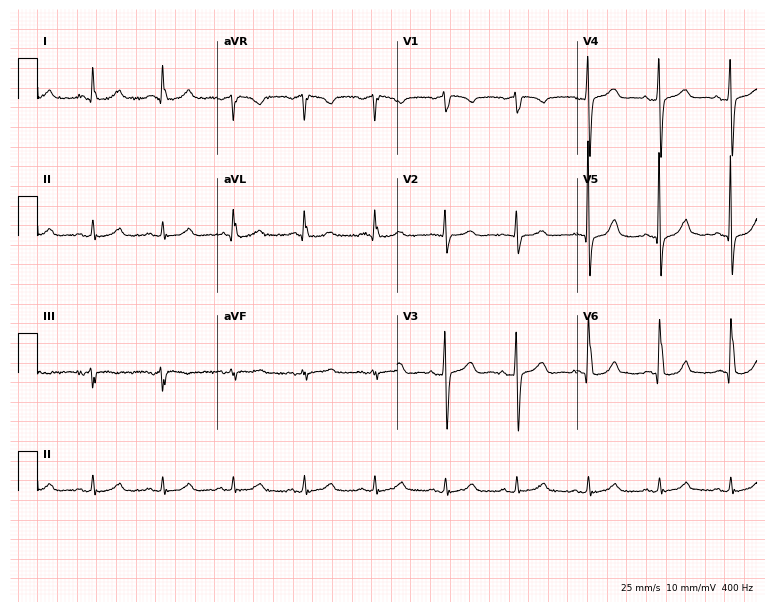
12-lead ECG (7.3-second recording at 400 Hz) from a female patient, 81 years old. Screened for six findings — first-degree AV block, right bundle branch block, left bundle branch block, sinus bradycardia, atrial fibrillation, sinus tachycardia — none is recorded. Findings outside these six are not listed.